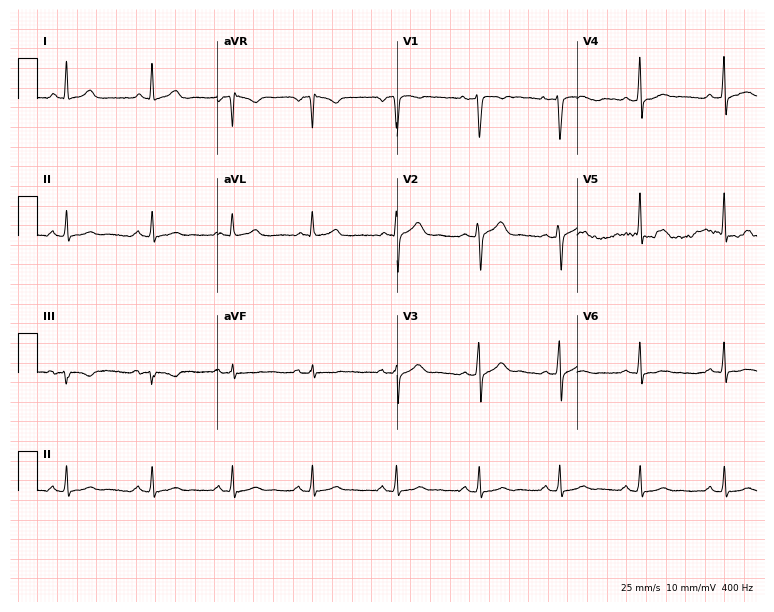
Electrocardiogram, a 36-year-old female. Of the six screened findings (first-degree AV block, right bundle branch block, left bundle branch block, sinus bradycardia, atrial fibrillation, sinus tachycardia), none is recorded. Findings outside these six are not listed.